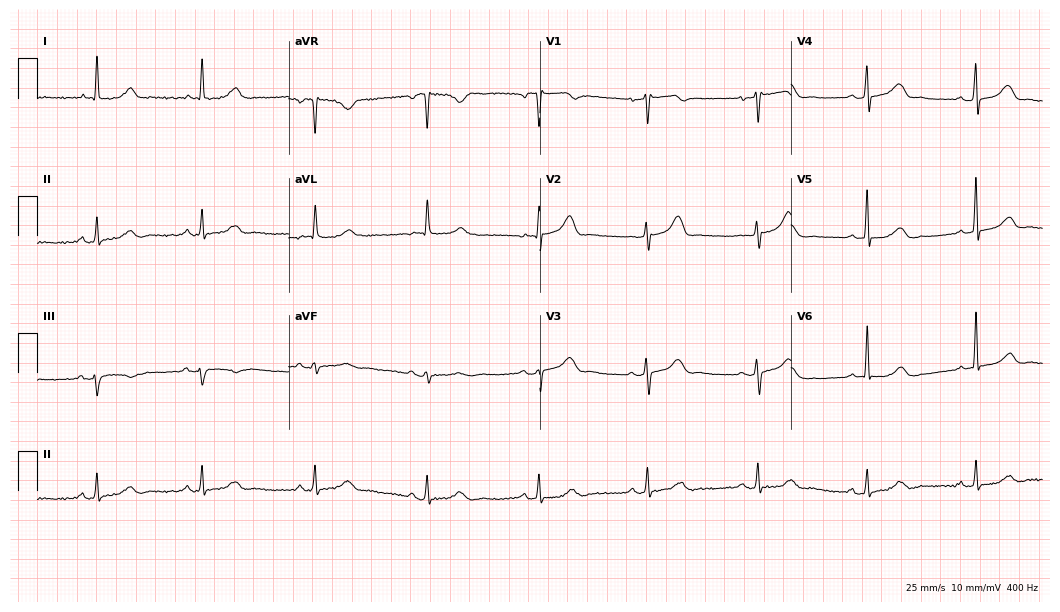
ECG — a female, 67 years old. Labelled as a normal ECG.